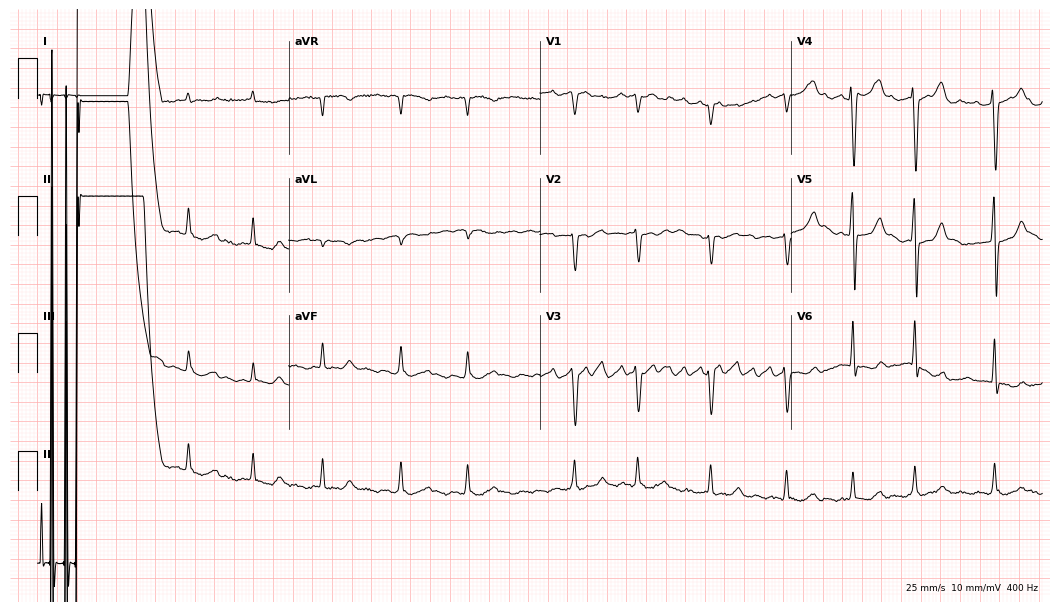
12-lead ECG from a 46-year-old female patient. Findings include atrial fibrillation.